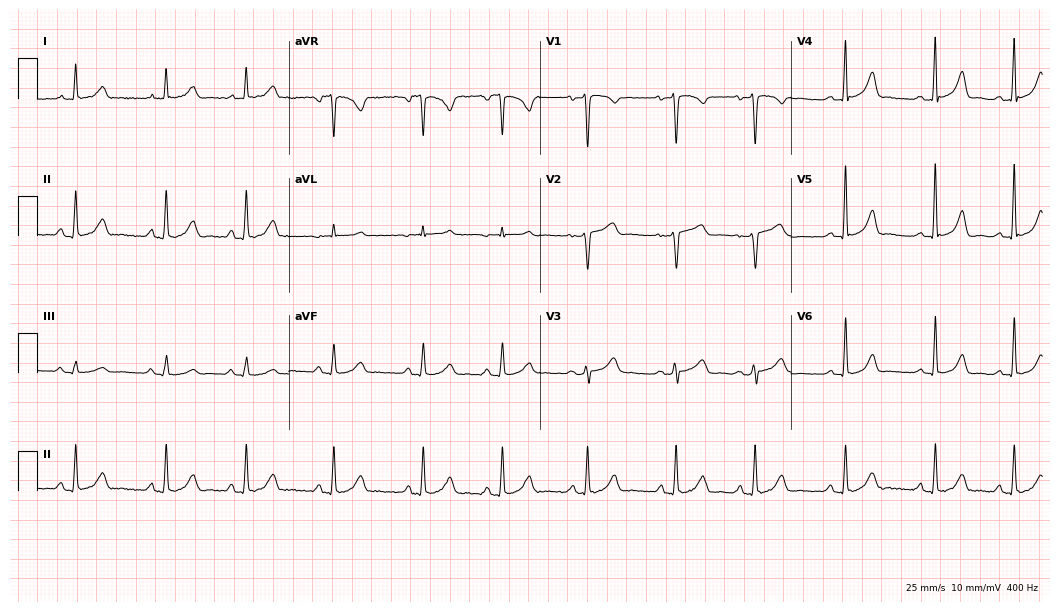
Electrocardiogram, a female, 43 years old. Of the six screened findings (first-degree AV block, right bundle branch block, left bundle branch block, sinus bradycardia, atrial fibrillation, sinus tachycardia), none is recorded.